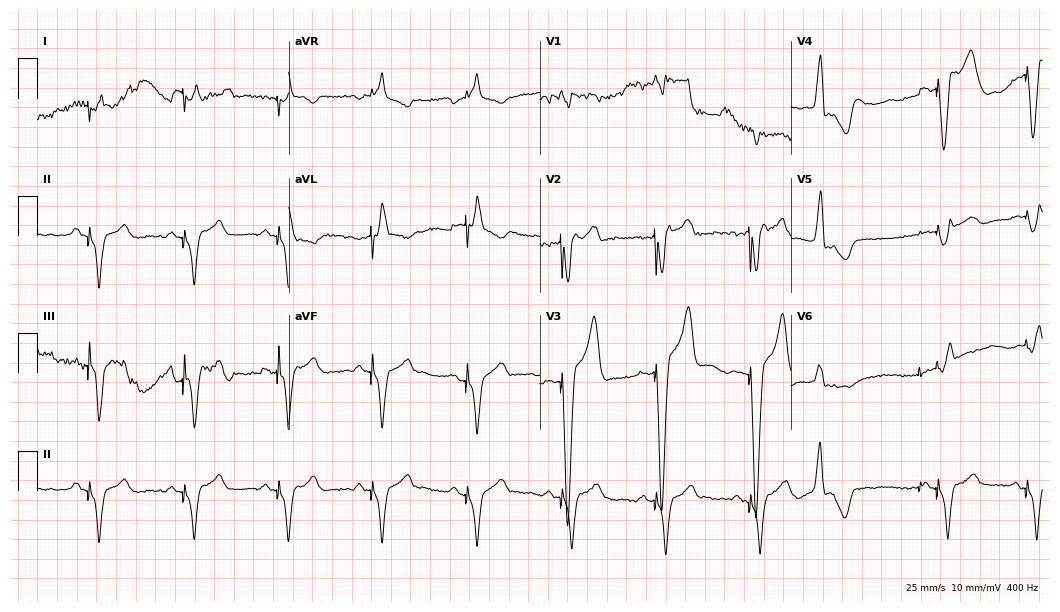
Electrocardiogram (10.2-second recording at 400 Hz), a male, 61 years old. Of the six screened findings (first-degree AV block, right bundle branch block, left bundle branch block, sinus bradycardia, atrial fibrillation, sinus tachycardia), none is recorded. Findings outside these six are not listed.